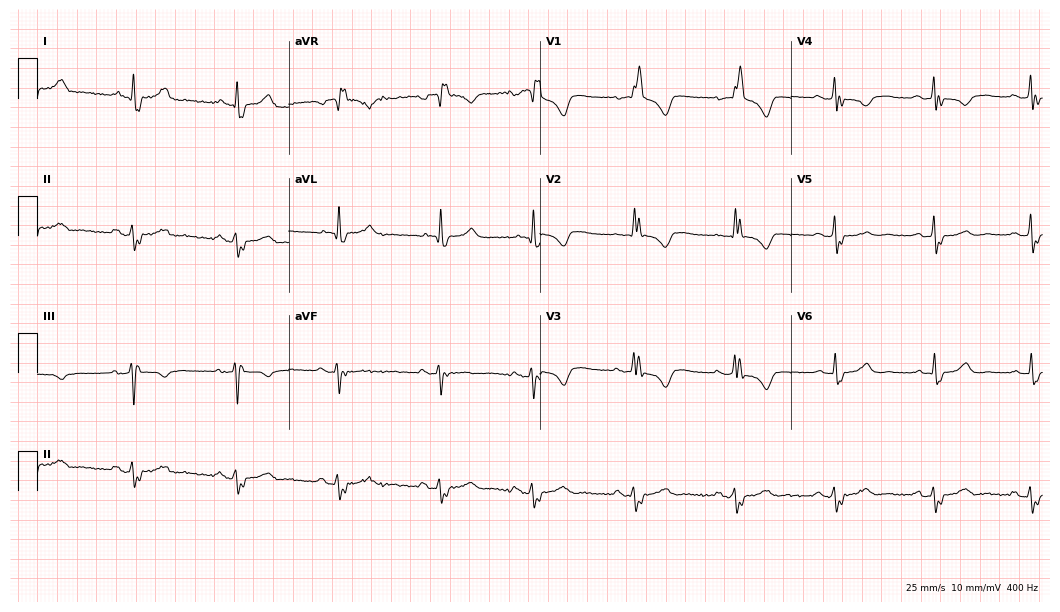
ECG (10.2-second recording at 400 Hz) — a female patient, 62 years old. Findings include right bundle branch block.